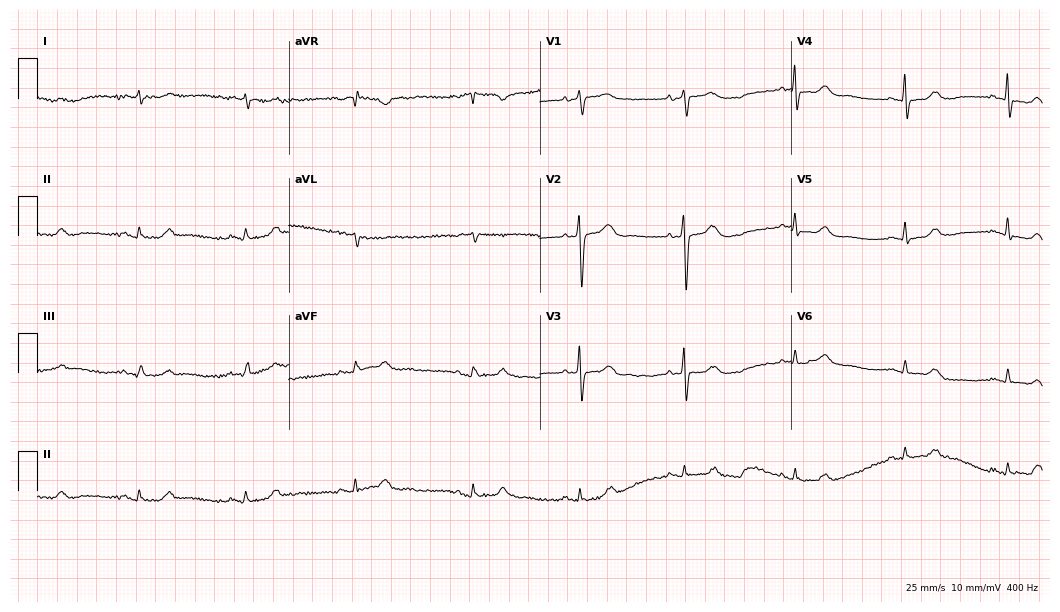
12-lead ECG (10.2-second recording at 400 Hz) from an 82-year-old female. Labelled as a normal ECG.